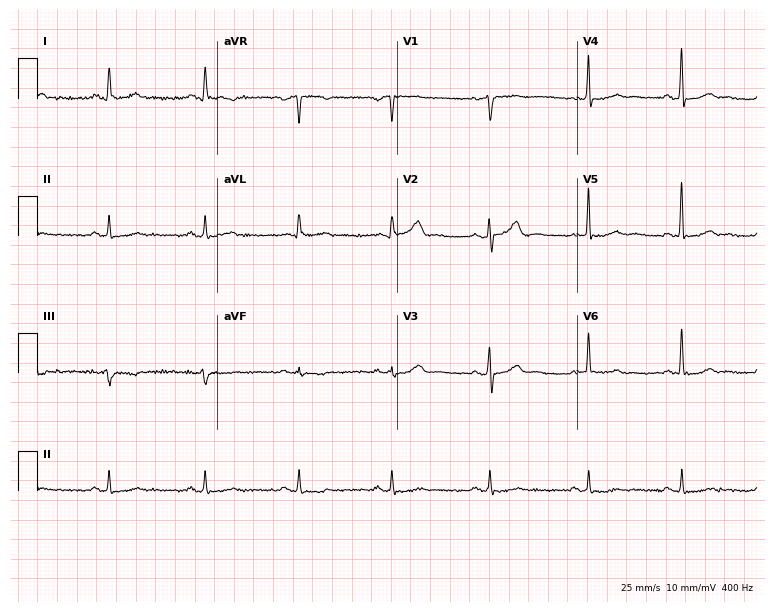
12-lead ECG from a 52-year-old man. Screened for six findings — first-degree AV block, right bundle branch block, left bundle branch block, sinus bradycardia, atrial fibrillation, sinus tachycardia — none is recorded.